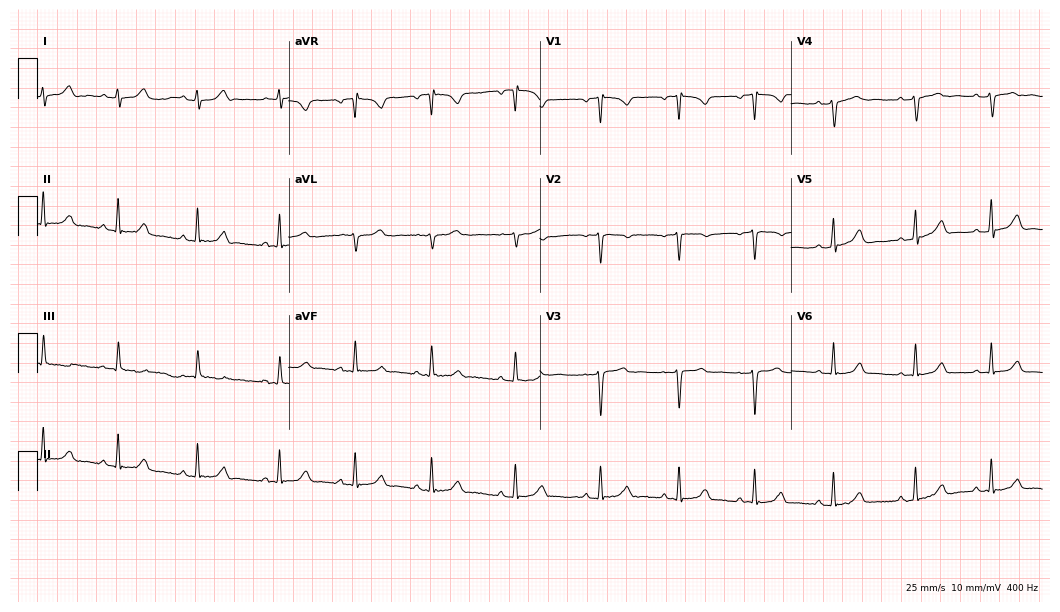
ECG — a woman, 19 years old. Labelled as a normal ECG.